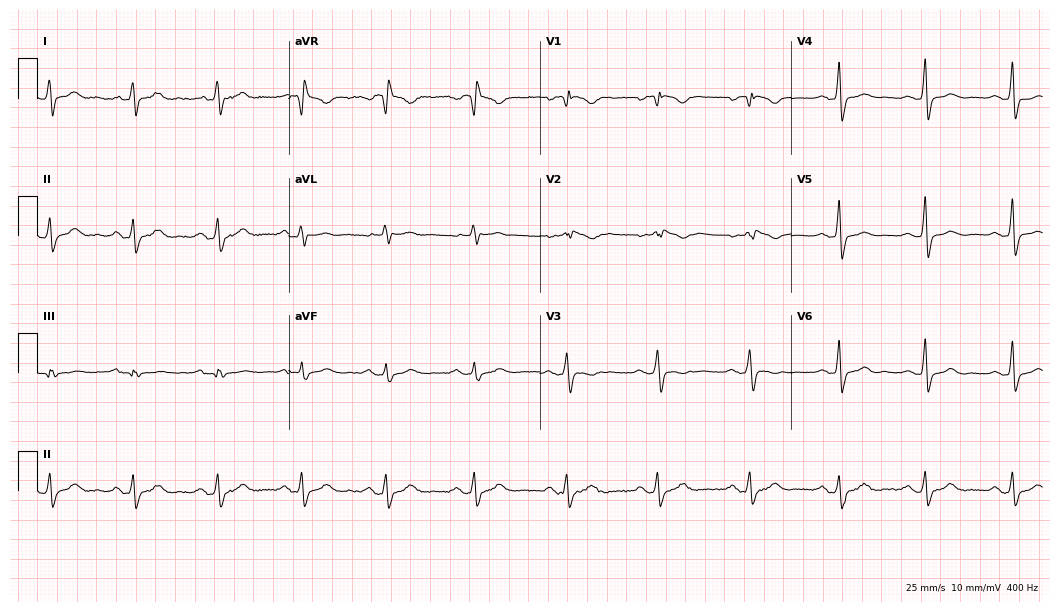
12-lead ECG (10.2-second recording at 400 Hz) from a female patient, 45 years old. Screened for six findings — first-degree AV block, right bundle branch block, left bundle branch block, sinus bradycardia, atrial fibrillation, sinus tachycardia — none is recorded.